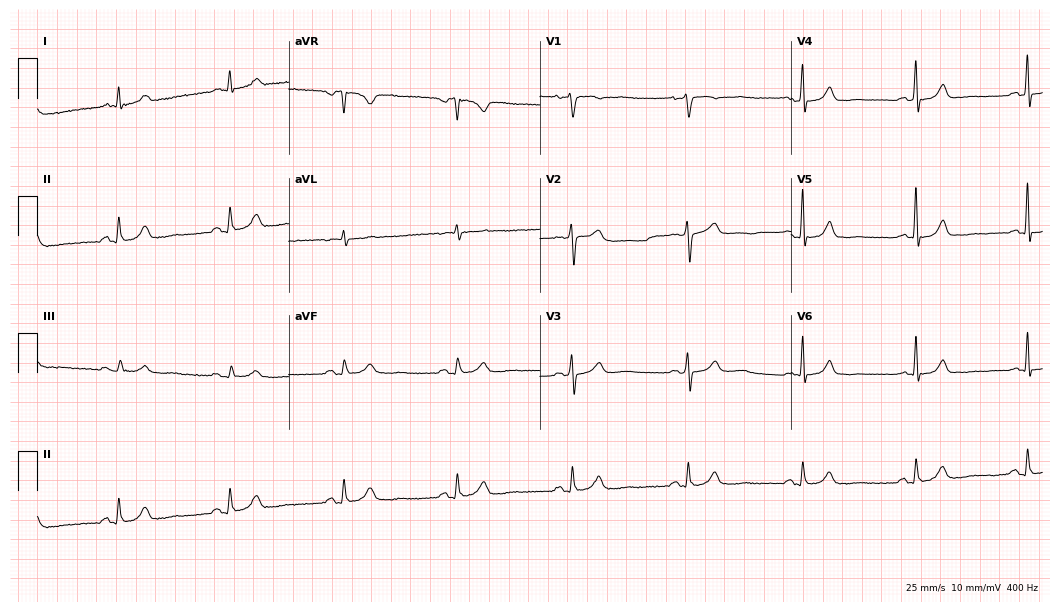
Electrocardiogram, a 70-year-old male. Overall reading on record: normal ECG.